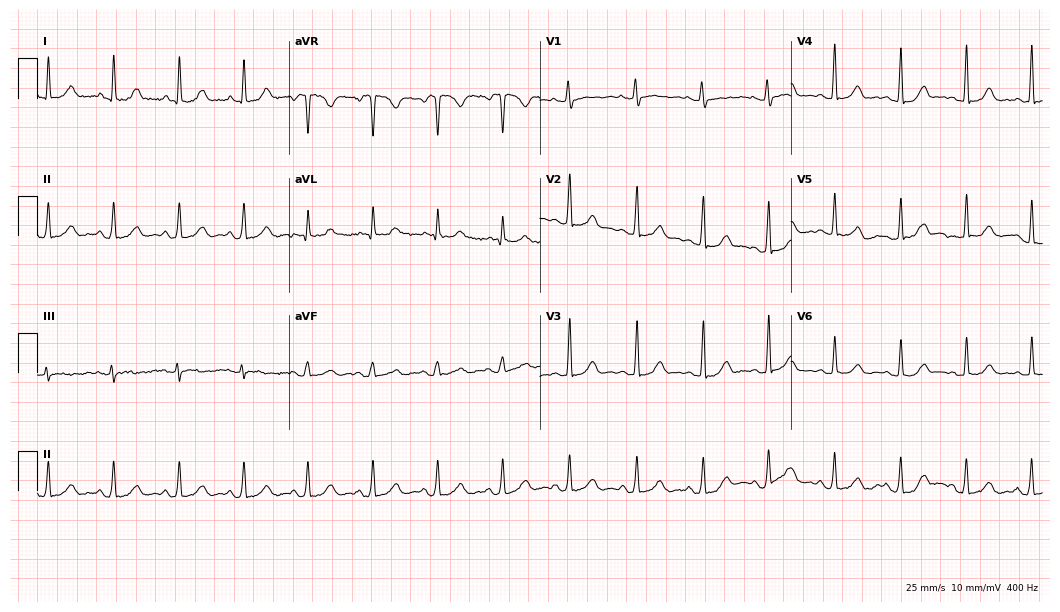
Resting 12-lead electrocardiogram (10.2-second recording at 400 Hz). Patient: a female, 40 years old. Read as a normal ECG.